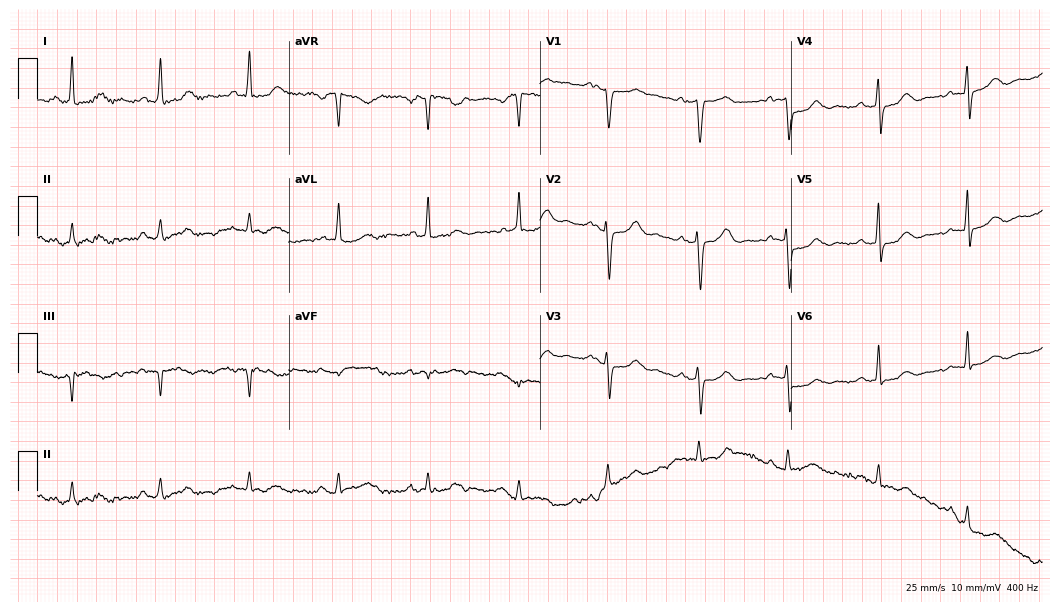
Standard 12-lead ECG recorded from an 84-year-old woman. Read as a normal ECG.